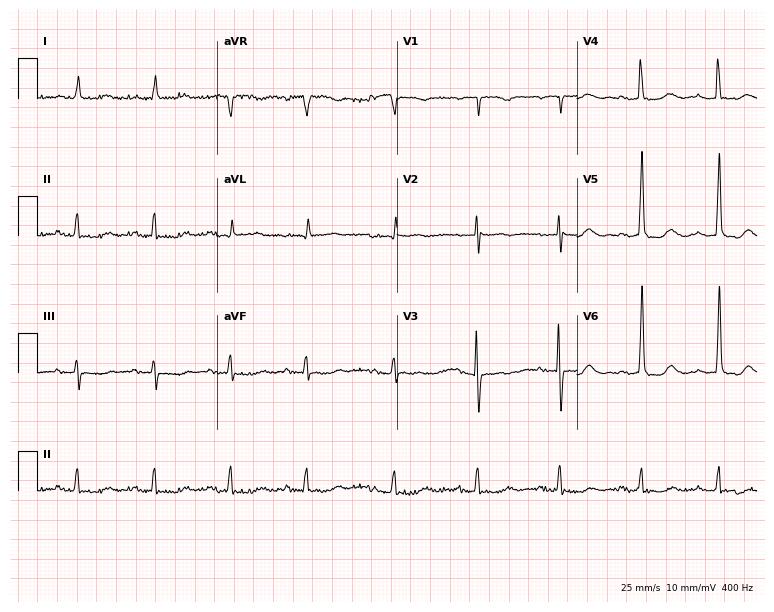
12-lead ECG from a female, 83 years old (7.3-second recording at 400 Hz). No first-degree AV block, right bundle branch block (RBBB), left bundle branch block (LBBB), sinus bradycardia, atrial fibrillation (AF) or sinus tachycardia recorded for this tracing. Other findings, if any, are not listed.